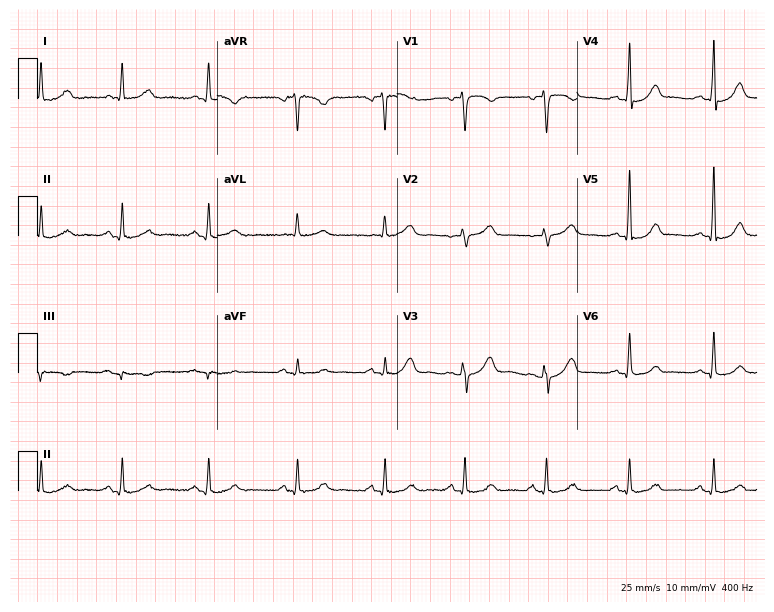
12-lead ECG (7.3-second recording at 400 Hz) from a female patient, 38 years old. Labelled as a normal ECG.